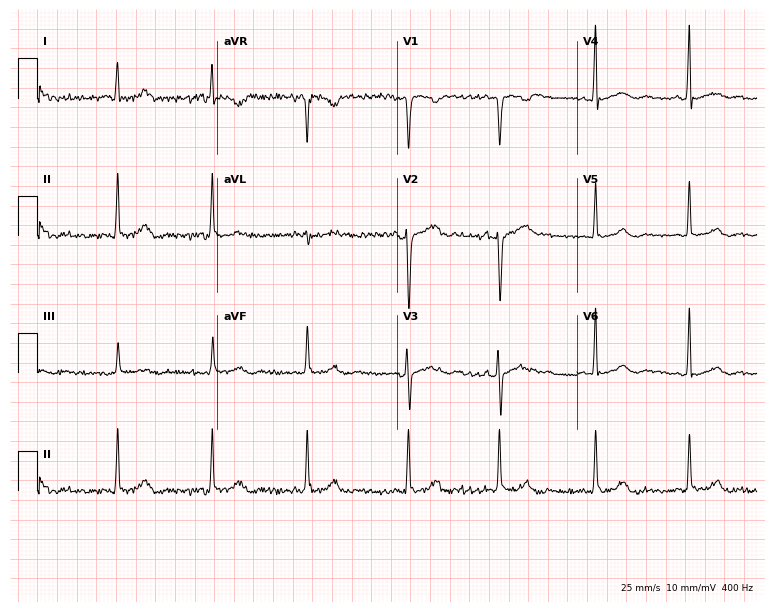
Standard 12-lead ECG recorded from a female, 25 years old. Read as a normal ECG.